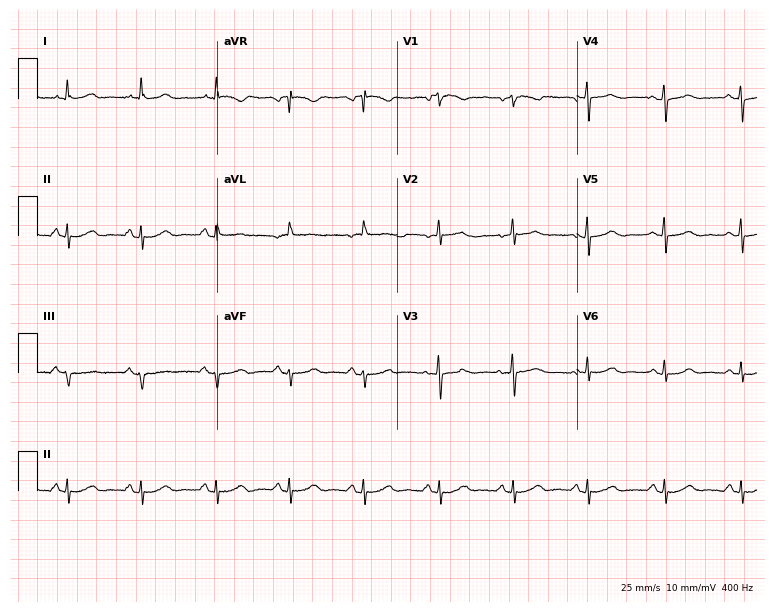
12-lead ECG from a 66-year-old woman. No first-degree AV block, right bundle branch block (RBBB), left bundle branch block (LBBB), sinus bradycardia, atrial fibrillation (AF) or sinus tachycardia recorded for this tracing. Findings outside these six are not listed.